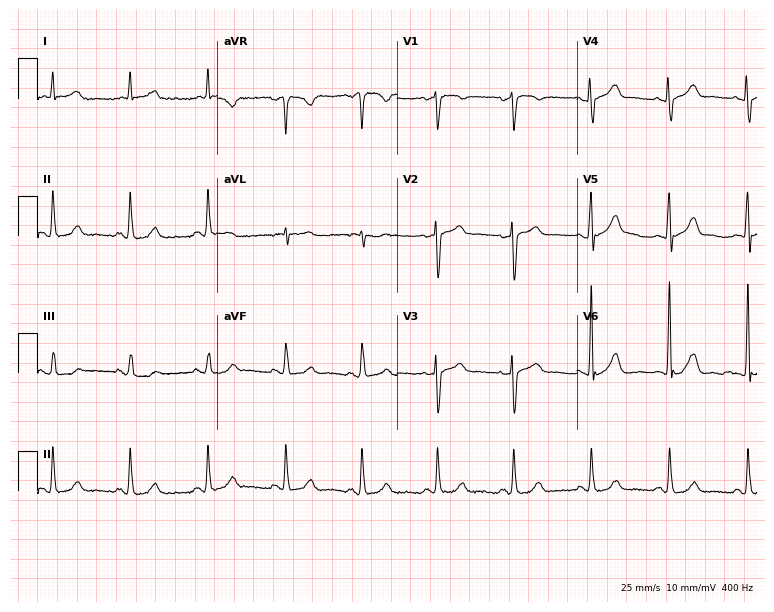
12-lead ECG from a 52-year-old woman. Recorded interpretation: within normal limits.